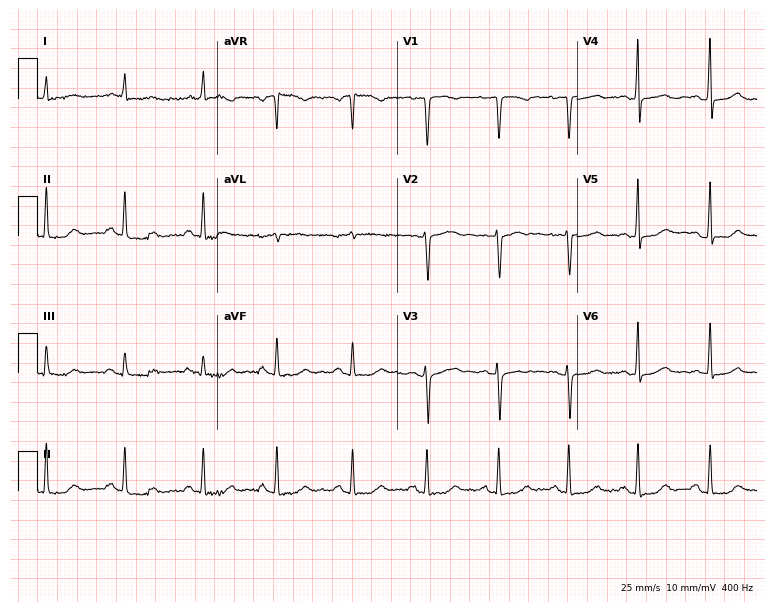
Standard 12-lead ECG recorded from a woman, 55 years old. None of these six findings is recorded: first-degree AV block, right bundle branch block (RBBB), left bundle branch block (LBBB), sinus bradycardia, atrial fibrillation (AF), sinus tachycardia.